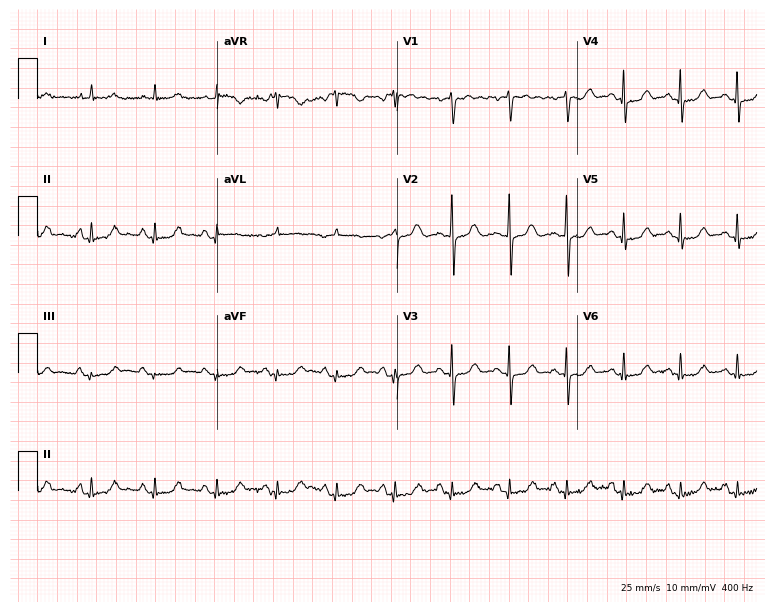
Standard 12-lead ECG recorded from a 75-year-old female. None of these six findings is recorded: first-degree AV block, right bundle branch block (RBBB), left bundle branch block (LBBB), sinus bradycardia, atrial fibrillation (AF), sinus tachycardia. Findings outside these six are not listed.